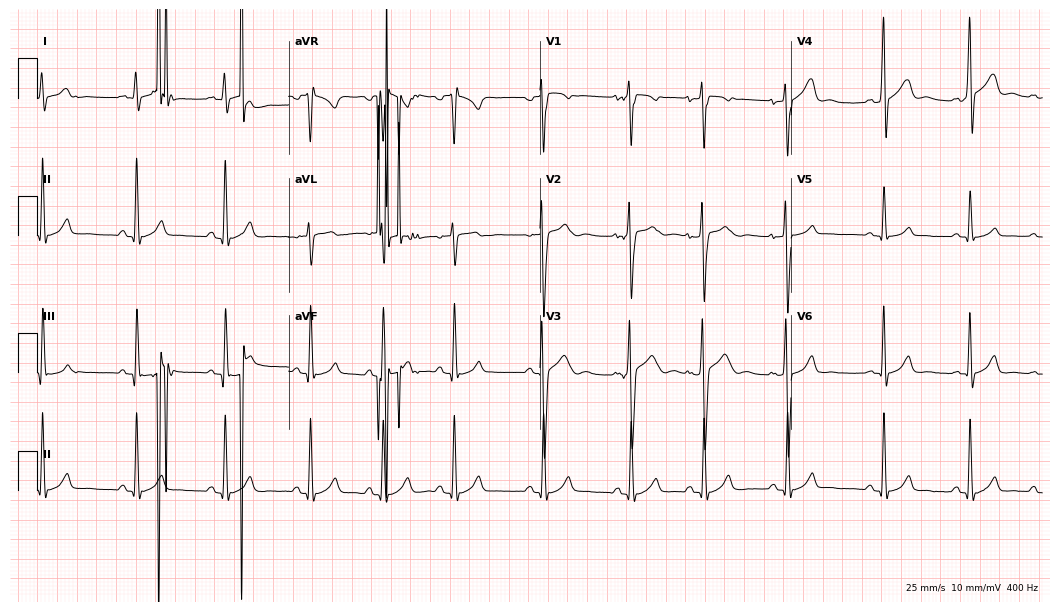
Standard 12-lead ECG recorded from a male, 17 years old (10.2-second recording at 400 Hz). Read as a normal ECG.